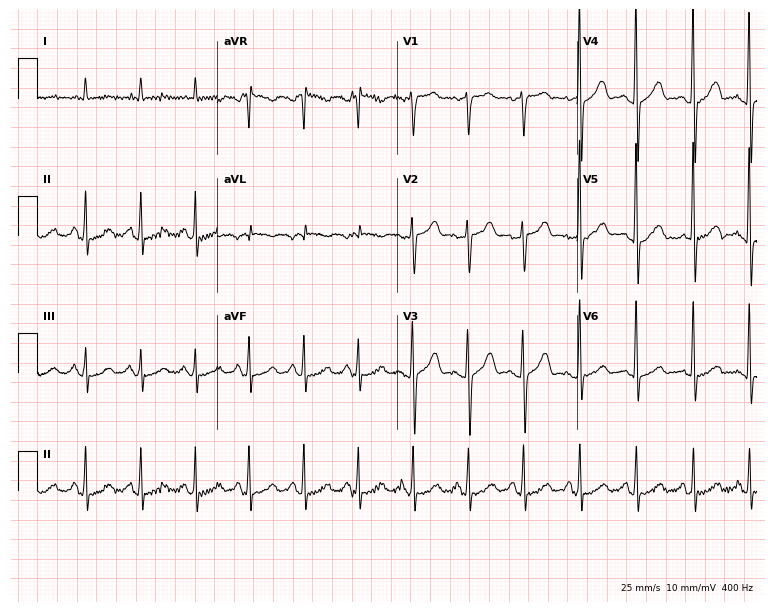
ECG — a 52-year-old male. Screened for six findings — first-degree AV block, right bundle branch block, left bundle branch block, sinus bradycardia, atrial fibrillation, sinus tachycardia — none is recorded.